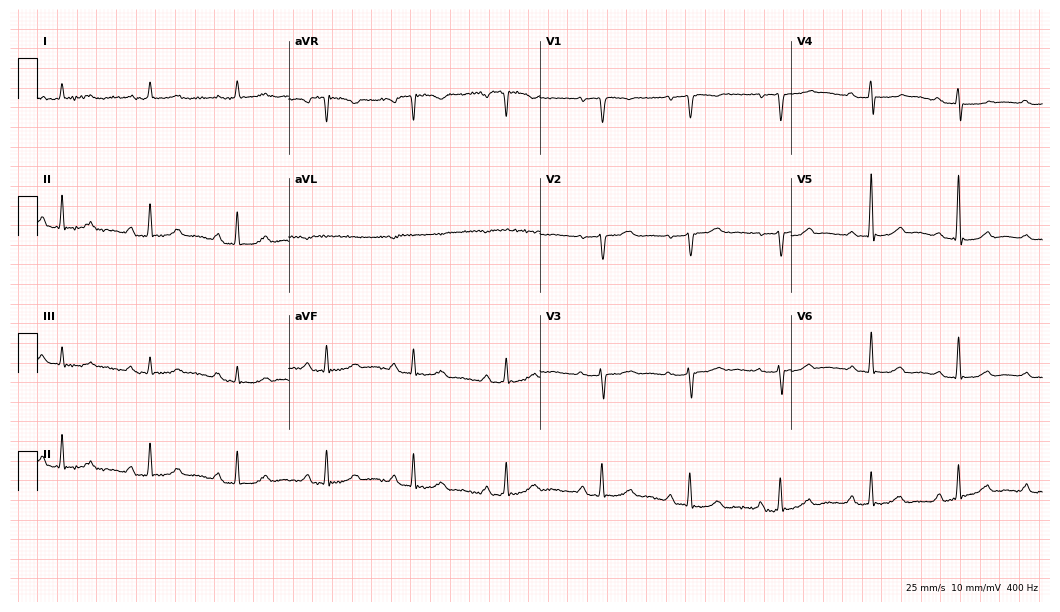
Electrocardiogram (10.2-second recording at 400 Hz), a 67-year-old woman. Of the six screened findings (first-degree AV block, right bundle branch block, left bundle branch block, sinus bradycardia, atrial fibrillation, sinus tachycardia), none is recorded. Findings outside these six are not listed.